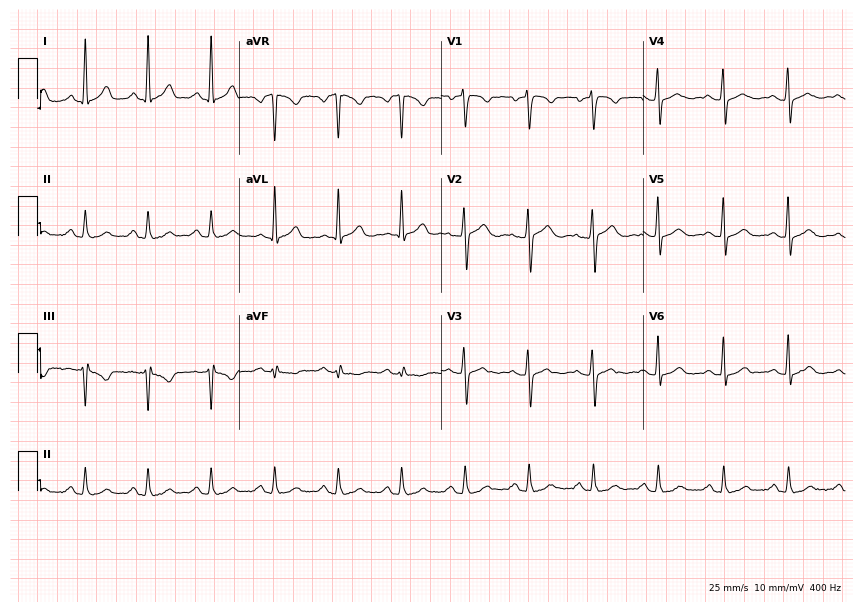
12-lead ECG from a woman, 45 years old (8.2-second recording at 400 Hz). Recorded interpretation: within normal limits.